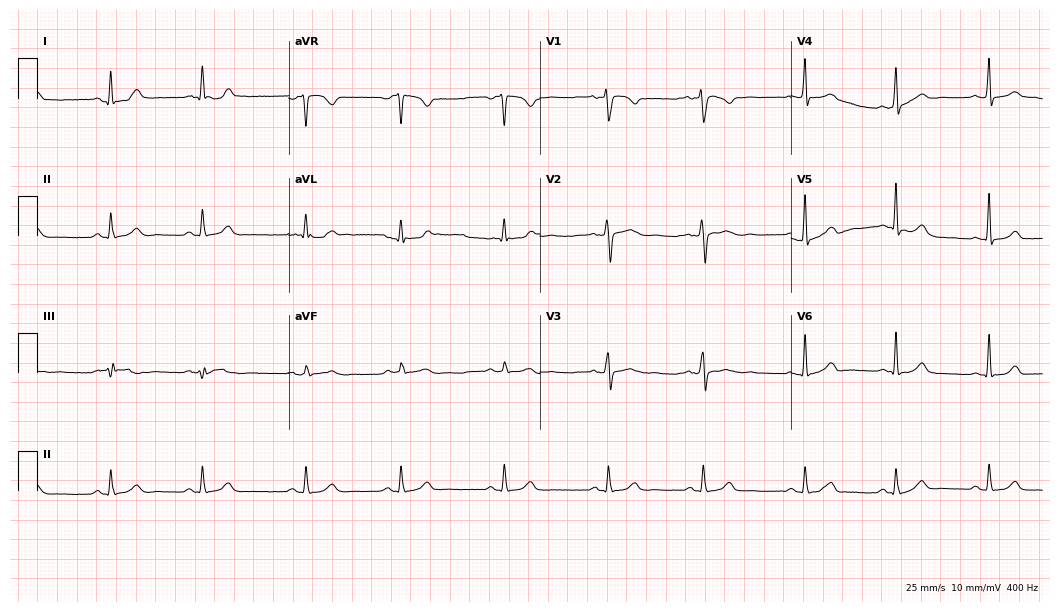
Electrocardiogram (10.2-second recording at 400 Hz), a 28-year-old woman. Overall reading on record: normal ECG.